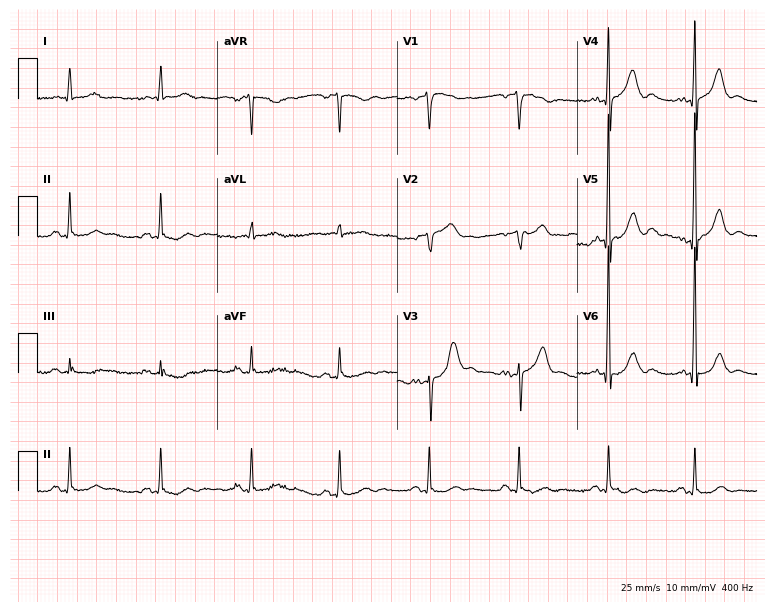
Electrocardiogram (7.3-second recording at 400 Hz), a man, 61 years old. Of the six screened findings (first-degree AV block, right bundle branch block (RBBB), left bundle branch block (LBBB), sinus bradycardia, atrial fibrillation (AF), sinus tachycardia), none is recorded. Only these six findings were labelled.